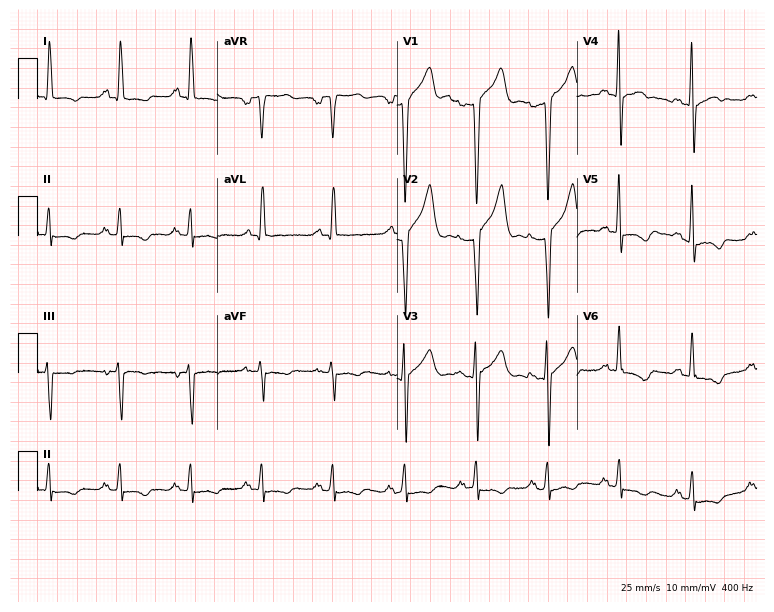
ECG — a 55-year-old male. Screened for six findings — first-degree AV block, right bundle branch block (RBBB), left bundle branch block (LBBB), sinus bradycardia, atrial fibrillation (AF), sinus tachycardia — none is recorded.